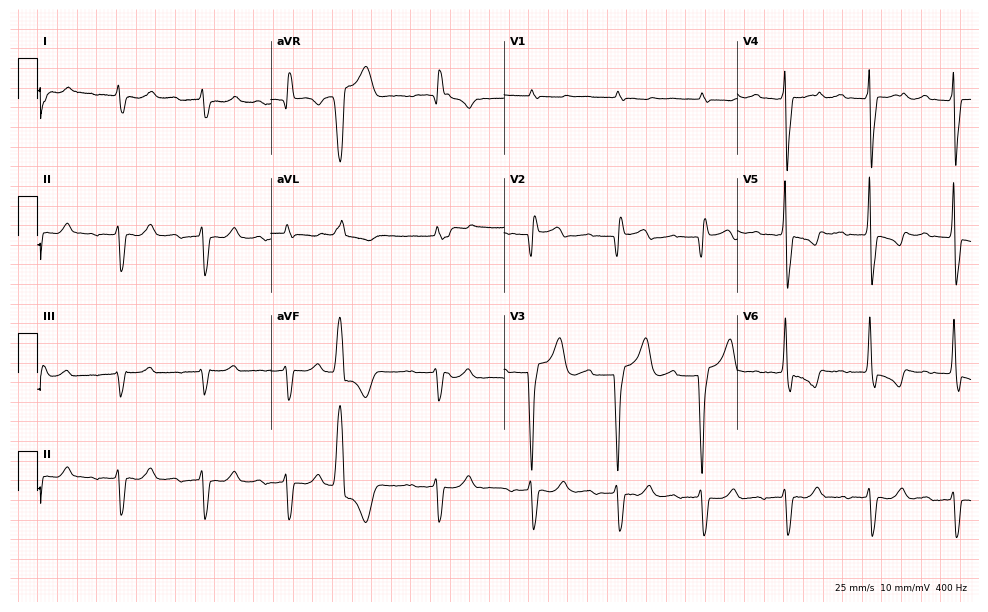
Electrocardiogram (9.5-second recording at 400 Hz), a man, 84 years old. Interpretation includes right bundle branch block.